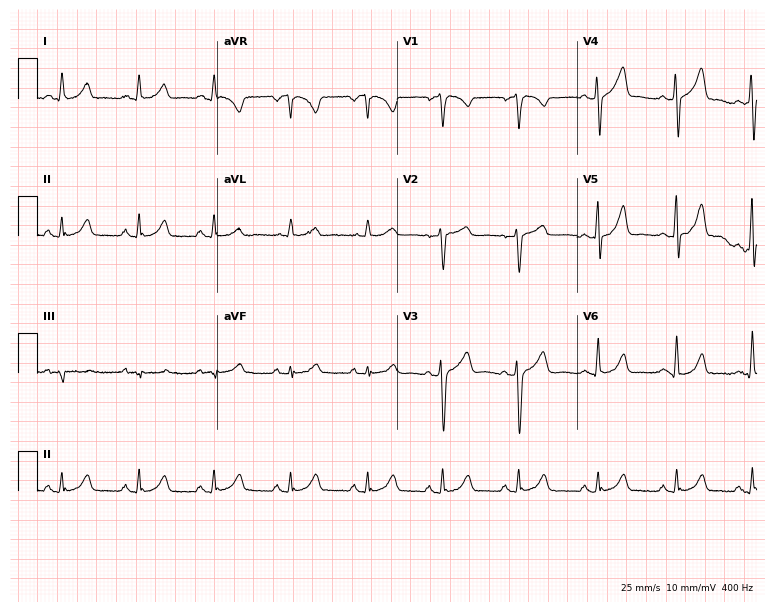
ECG — a female, 58 years old. Labelled as a normal ECG.